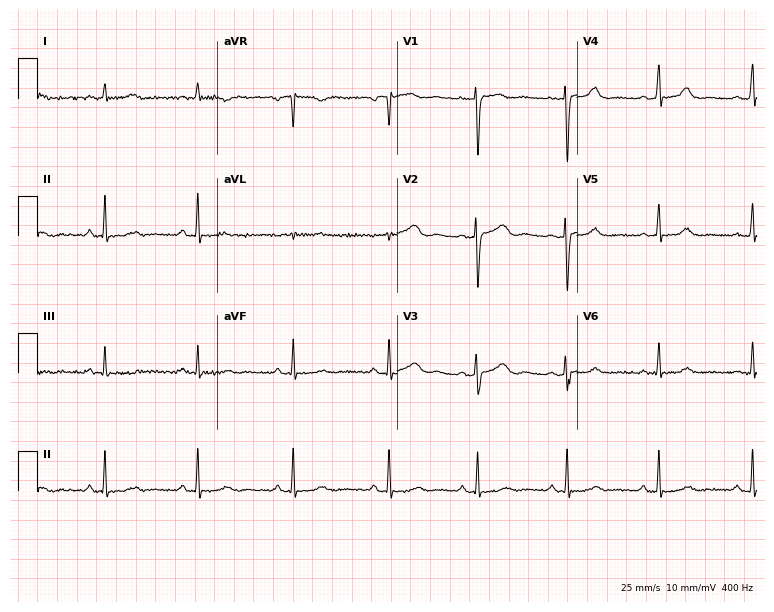
Standard 12-lead ECG recorded from a 29-year-old female (7.3-second recording at 400 Hz). None of these six findings is recorded: first-degree AV block, right bundle branch block, left bundle branch block, sinus bradycardia, atrial fibrillation, sinus tachycardia.